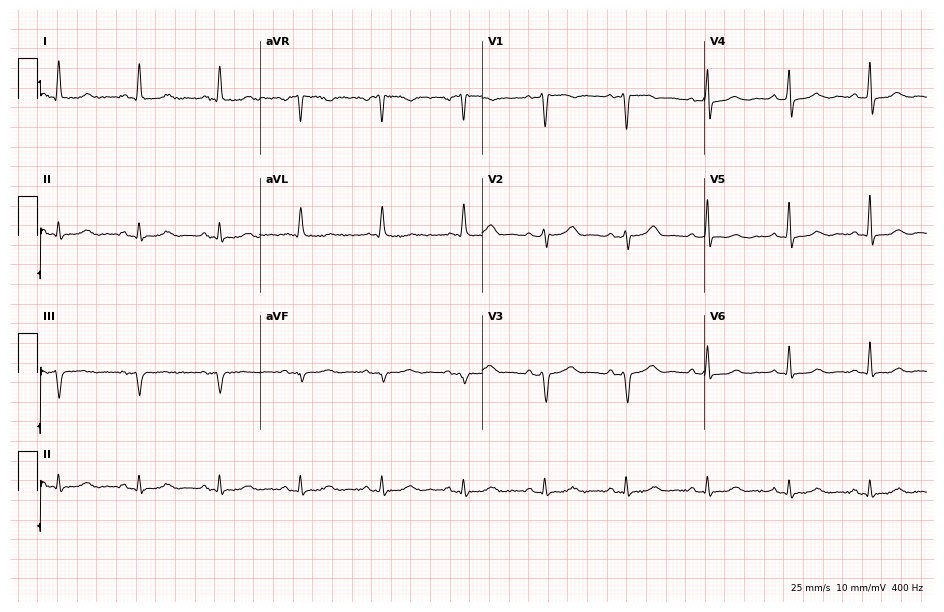
Resting 12-lead electrocardiogram (9.1-second recording at 400 Hz). Patient: a 51-year-old female. None of these six findings is recorded: first-degree AV block, right bundle branch block (RBBB), left bundle branch block (LBBB), sinus bradycardia, atrial fibrillation (AF), sinus tachycardia.